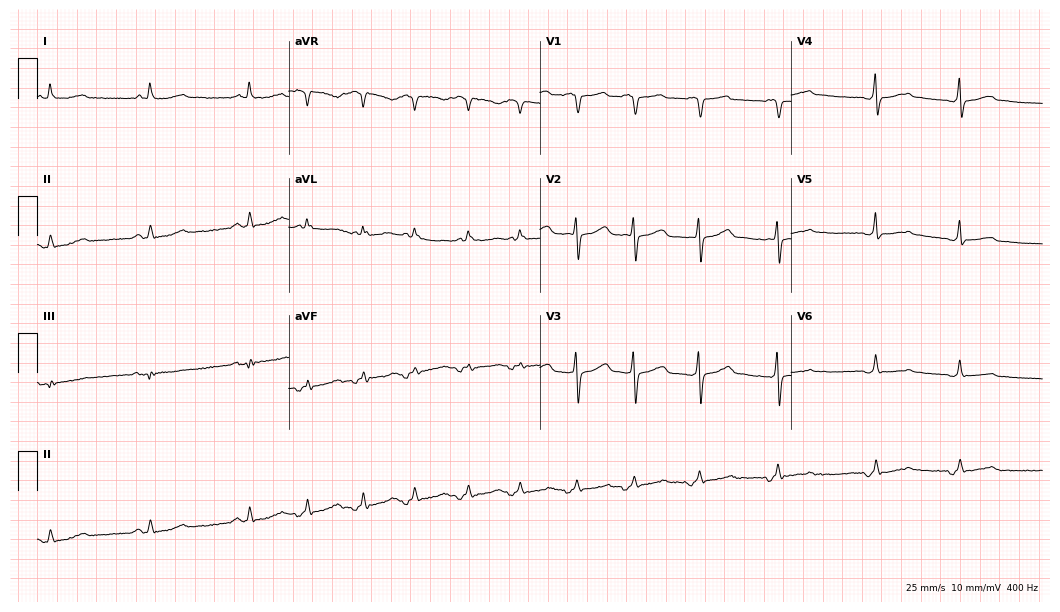
Standard 12-lead ECG recorded from a male, 74 years old (10.2-second recording at 400 Hz). None of these six findings is recorded: first-degree AV block, right bundle branch block (RBBB), left bundle branch block (LBBB), sinus bradycardia, atrial fibrillation (AF), sinus tachycardia.